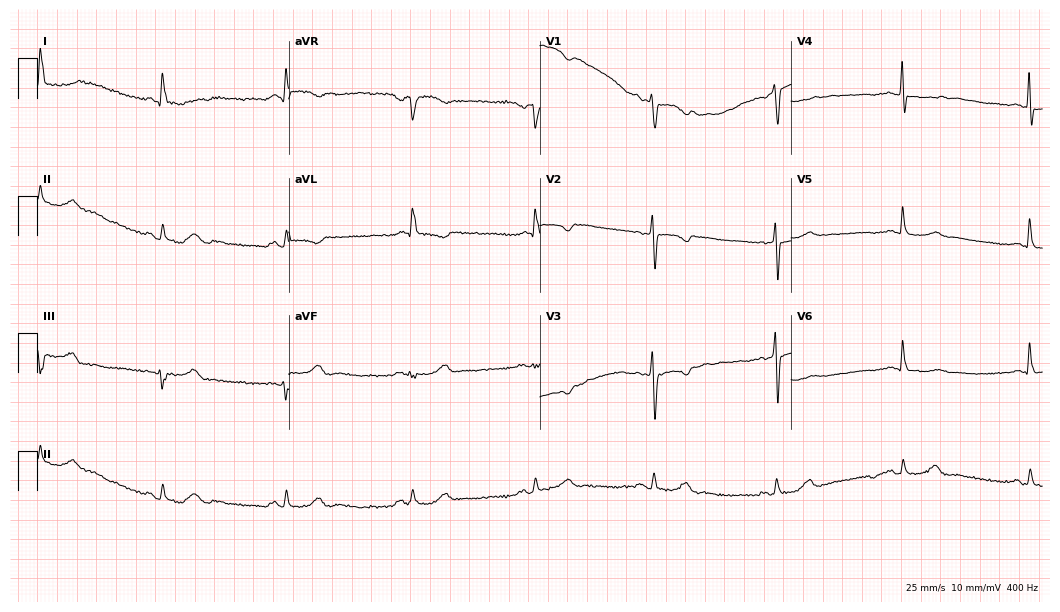
Resting 12-lead electrocardiogram (10.2-second recording at 400 Hz). Patient: a woman, 68 years old. The tracing shows sinus bradycardia (a sinus rate of 50 beats per minute or less).